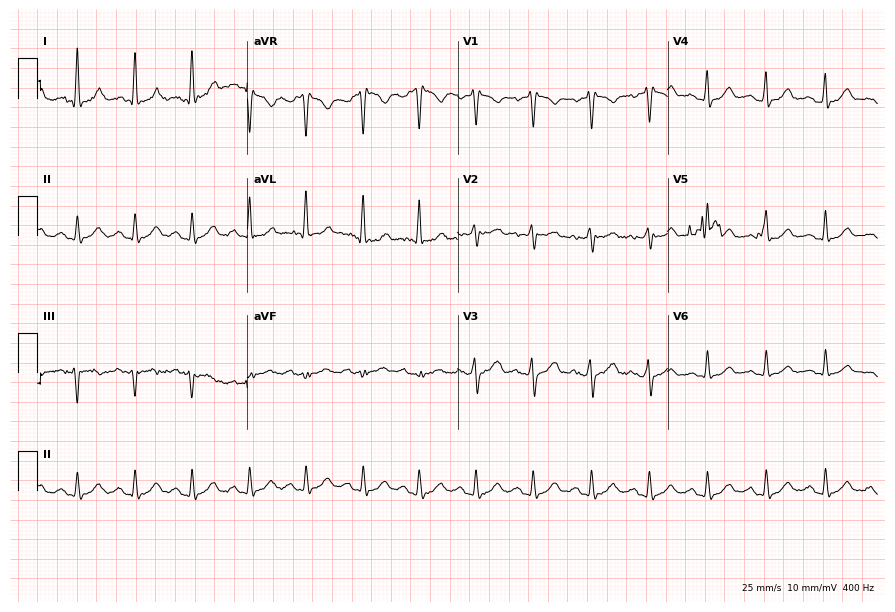
Electrocardiogram (8.6-second recording at 400 Hz), a female, 38 years old. Overall reading on record: normal ECG.